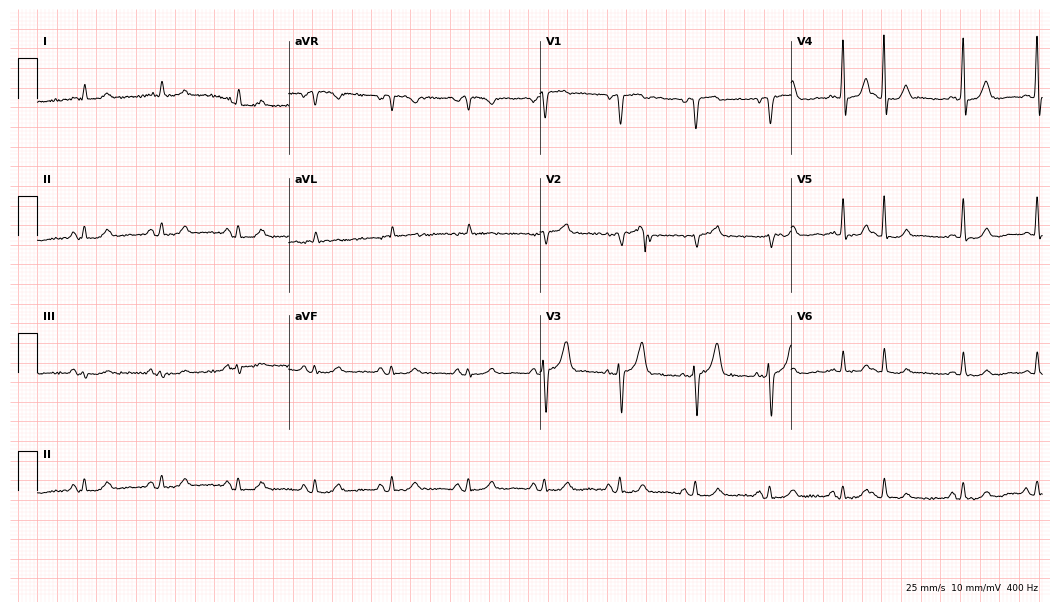
12-lead ECG from a male, 83 years old. Screened for six findings — first-degree AV block, right bundle branch block, left bundle branch block, sinus bradycardia, atrial fibrillation, sinus tachycardia — none is recorded. Findings outside these six are not listed.